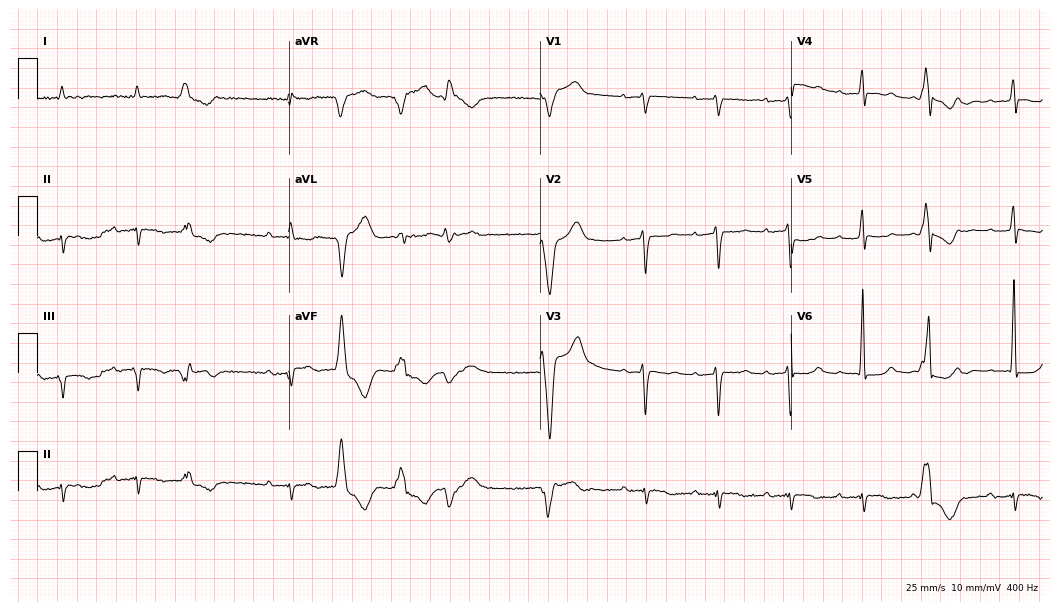
12-lead ECG (10.2-second recording at 400 Hz) from a male patient, 80 years old. Screened for six findings — first-degree AV block, right bundle branch block, left bundle branch block, sinus bradycardia, atrial fibrillation, sinus tachycardia — none is recorded.